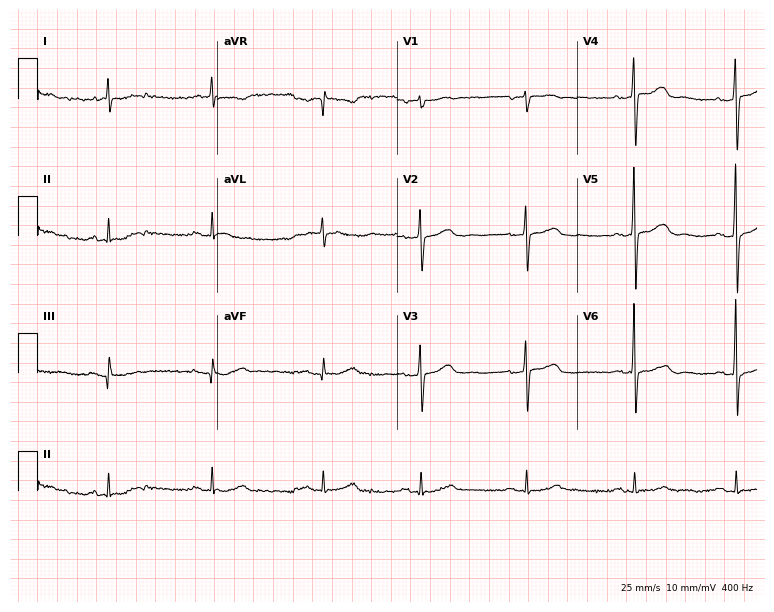
ECG — an 86-year-old man. Screened for six findings — first-degree AV block, right bundle branch block, left bundle branch block, sinus bradycardia, atrial fibrillation, sinus tachycardia — none is recorded. Only these six findings were labelled.